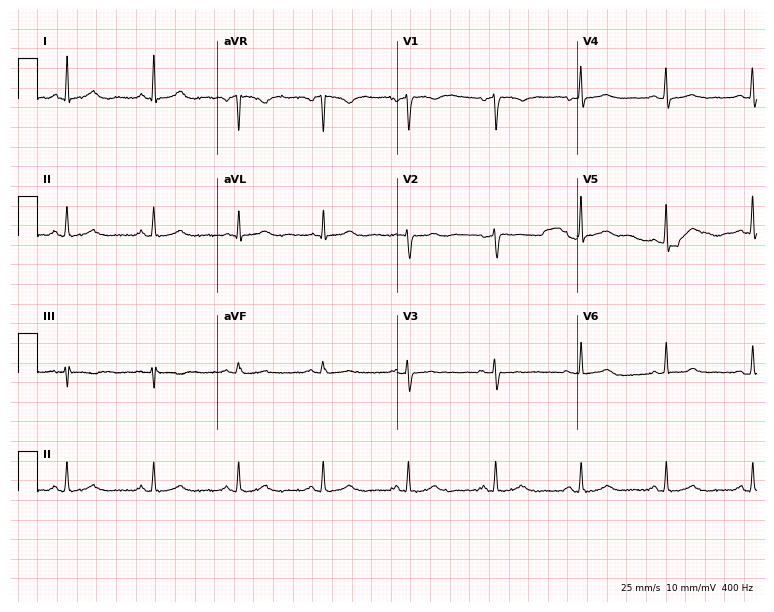
Resting 12-lead electrocardiogram. Patient: a woman, 53 years old. Read as a normal ECG.